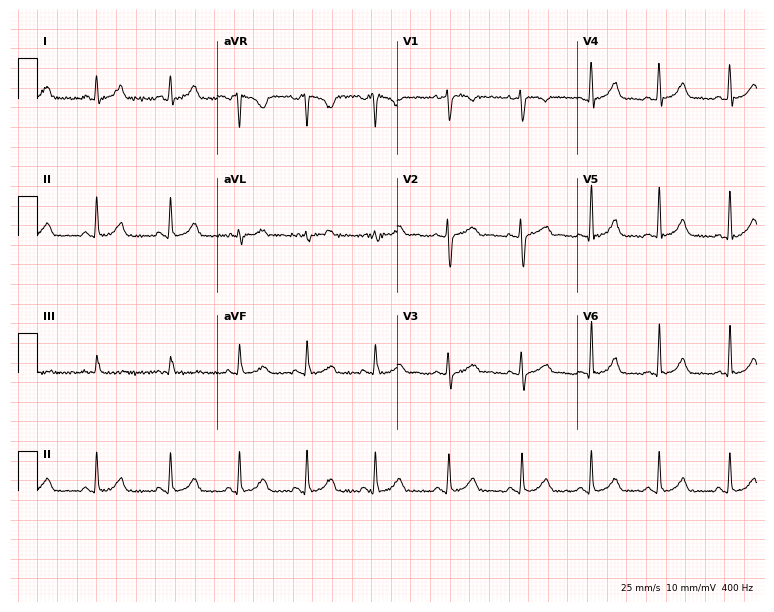
Electrocardiogram, a 31-year-old woman. Overall reading on record: normal ECG.